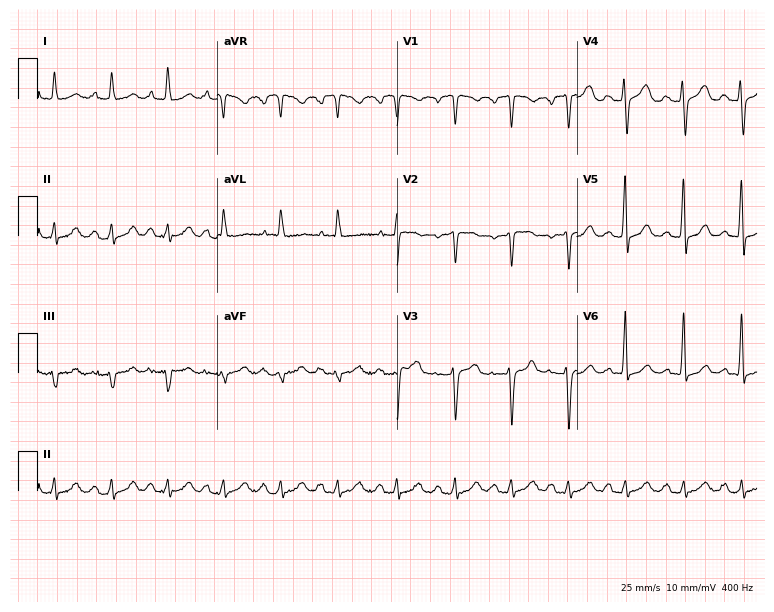
Standard 12-lead ECG recorded from a 47-year-old female. Read as a normal ECG.